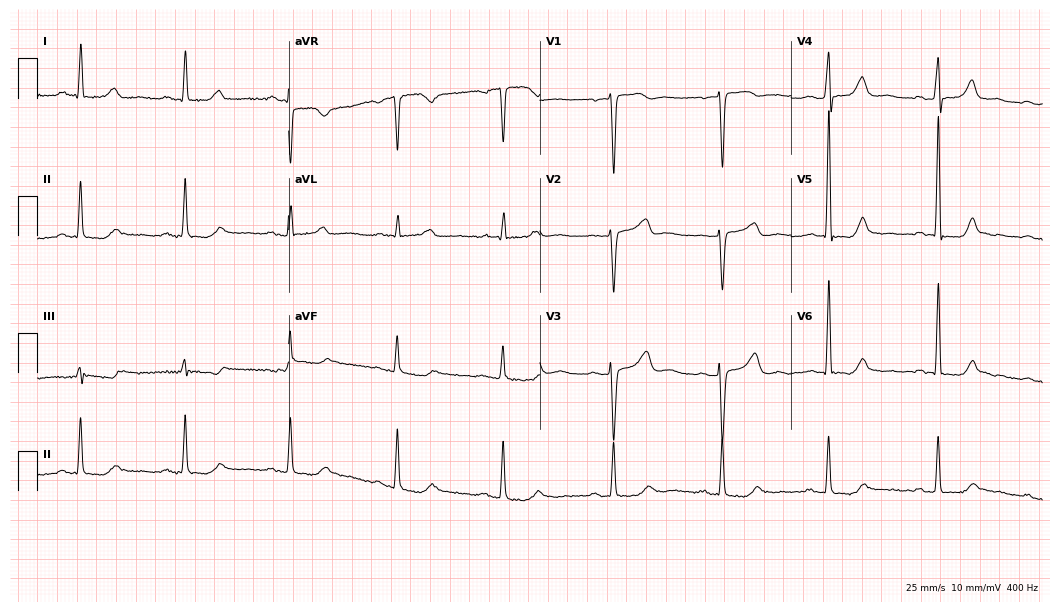
Electrocardiogram, a 54-year-old female patient. Of the six screened findings (first-degree AV block, right bundle branch block, left bundle branch block, sinus bradycardia, atrial fibrillation, sinus tachycardia), none is recorded.